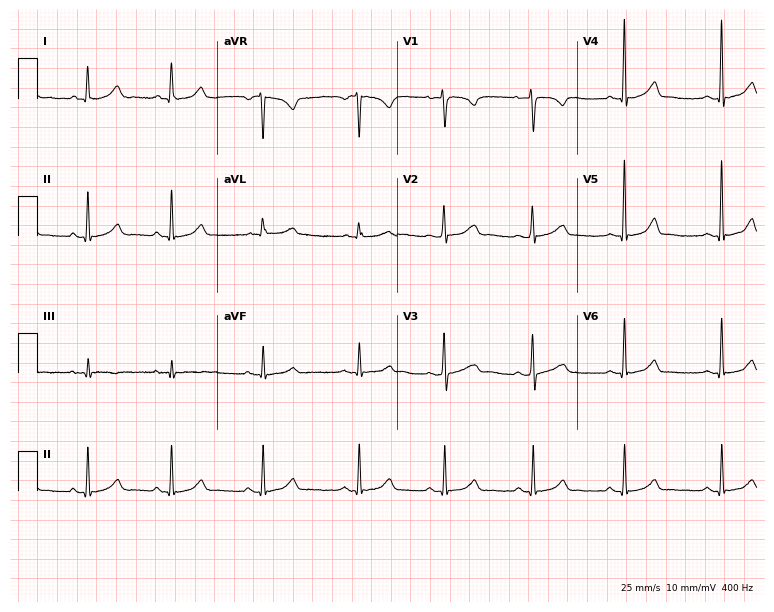
12-lead ECG from a female, 29 years old. Labelled as a normal ECG.